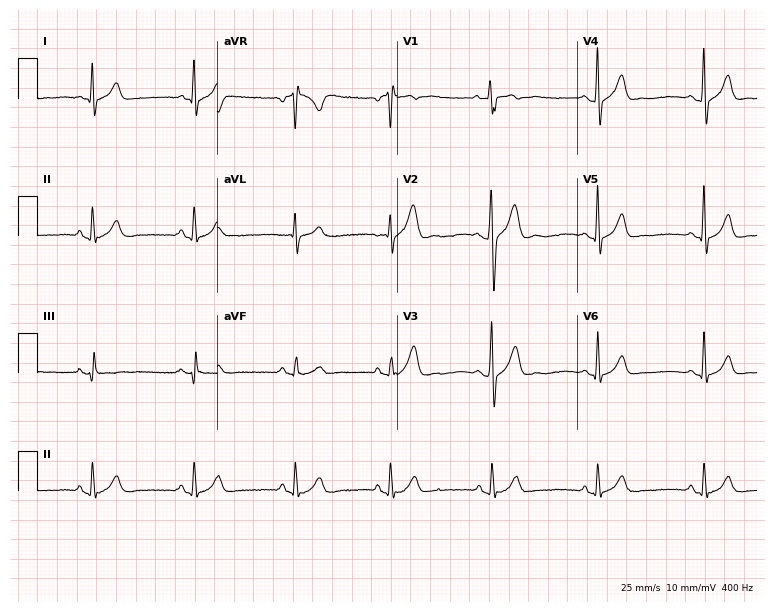
ECG (7.3-second recording at 400 Hz) — a 20-year-old man. Labelled as a normal ECG.